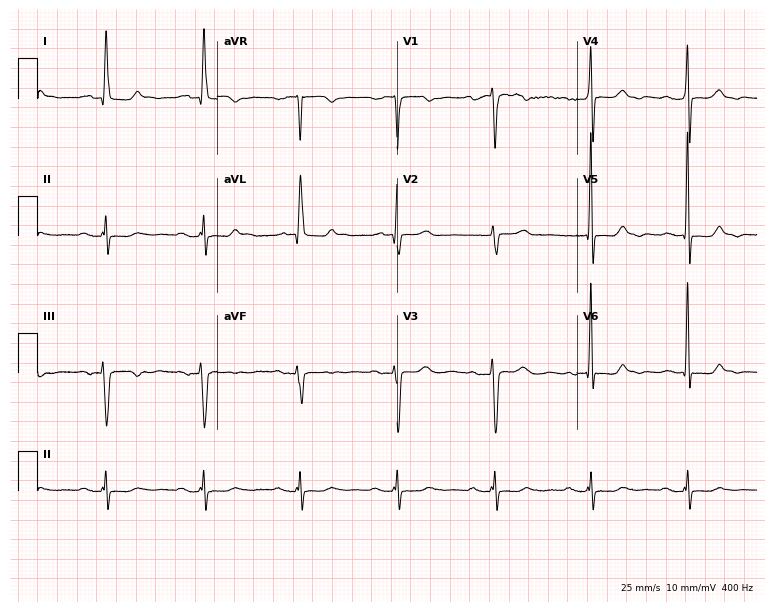
ECG — a female, 84 years old. Screened for six findings — first-degree AV block, right bundle branch block, left bundle branch block, sinus bradycardia, atrial fibrillation, sinus tachycardia — none is recorded. Only these six findings were labelled.